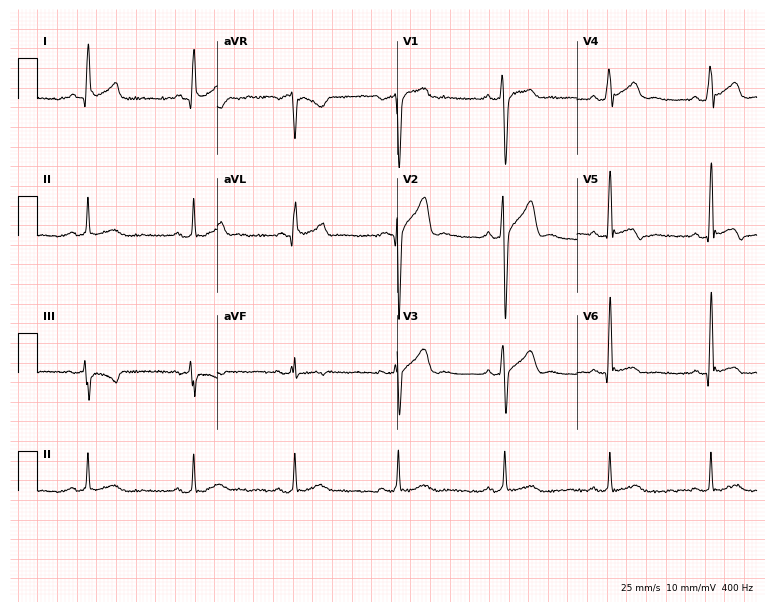
12-lead ECG from a male, 42 years old. Screened for six findings — first-degree AV block, right bundle branch block, left bundle branch block, sinus bradycardia, atrial fibrillation, sinus tachycardia — none is recorded. Only these six findings were labelled.